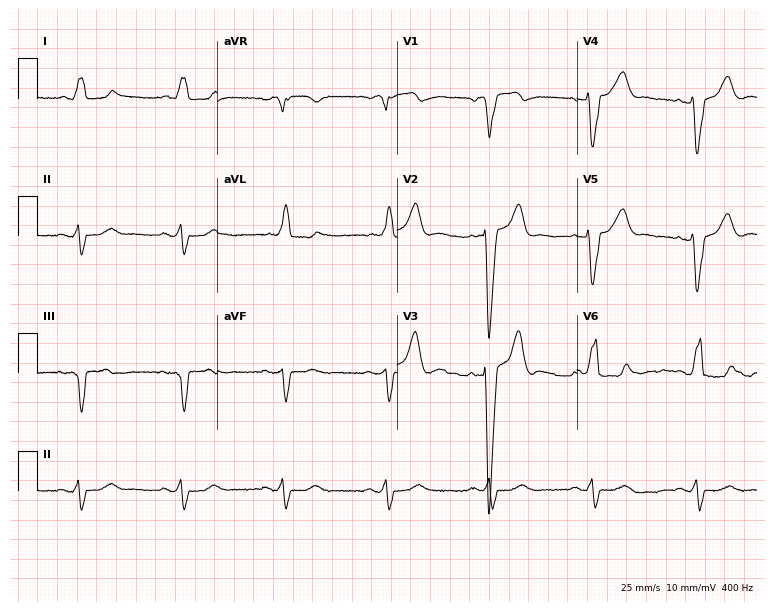
12-lead ECG (7.3-second recording at 400 Hz) from an 84-year-old male. Findings include left bundle branch block (LBBB).